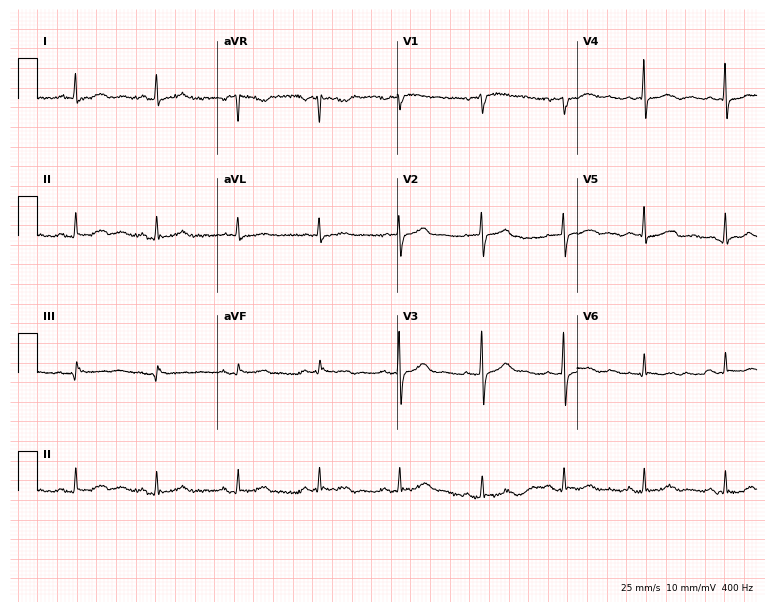
Electrocardiogram (7.3-second recording at 400 Hz), a 64-year-old woman. Of the six screened findings (first-degree AV block, right bundle branch block, left bundle branch block, sinus bradycardia, atrial fibrillation, sinus tachycardia), none is recorded.